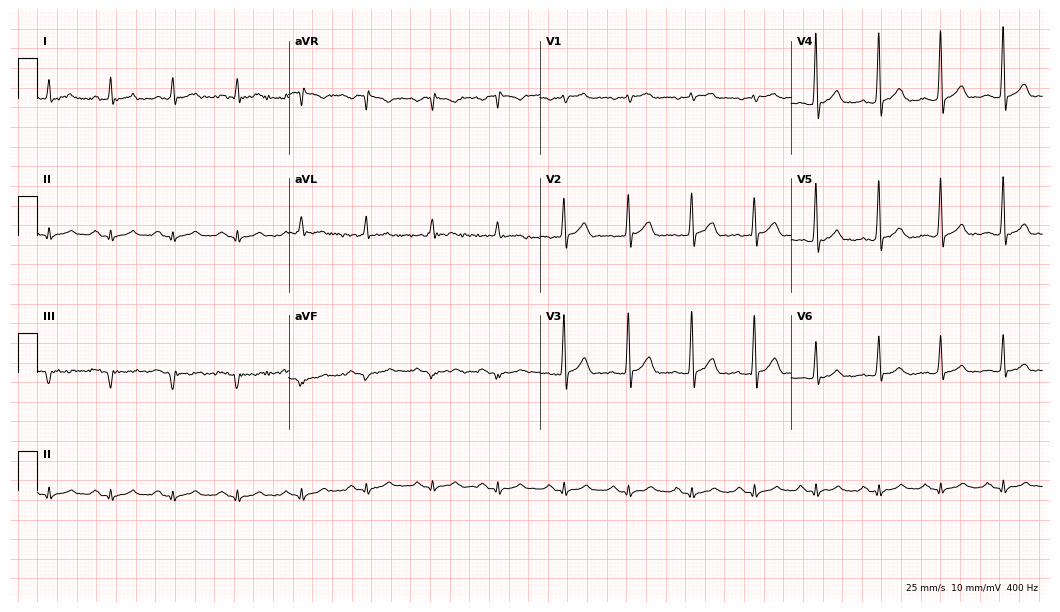
ECG — a 61-year-old male. Screened for six findings — first-degree AV block, right bundle branch block, left bundle branch block, sinus bradycardia, atrial fibrillation, sinus tachycardia — none is recorded.